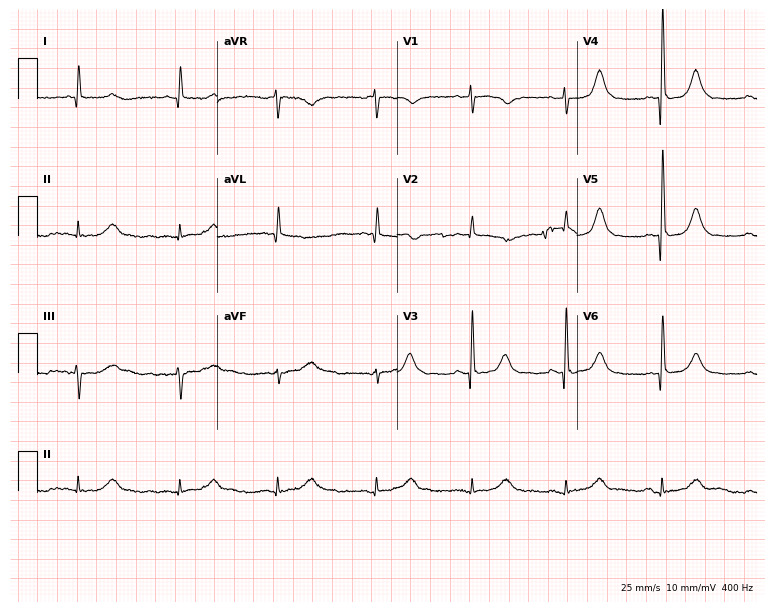
Electrocardiogram (7.3-second recording at 400 Hz), a woman, 75 years old. Overall reading on record: normal ECG.